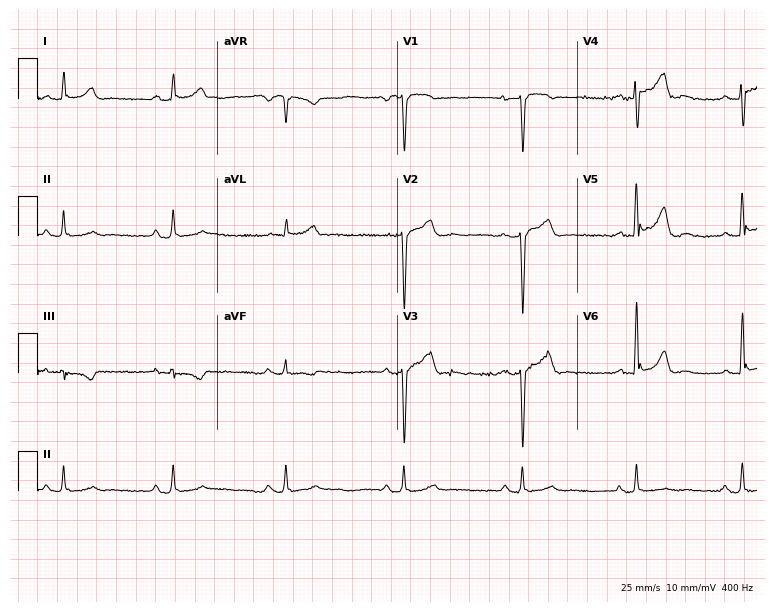
Resting 12-lead electrocardiogram. Patient: a man, 35 years old. None of these six findings is recorded: first-degree AV block, right bundle branch block, left bundle branch block, sinus bradycardia, atrial fibrillation, sinus tachycardia.